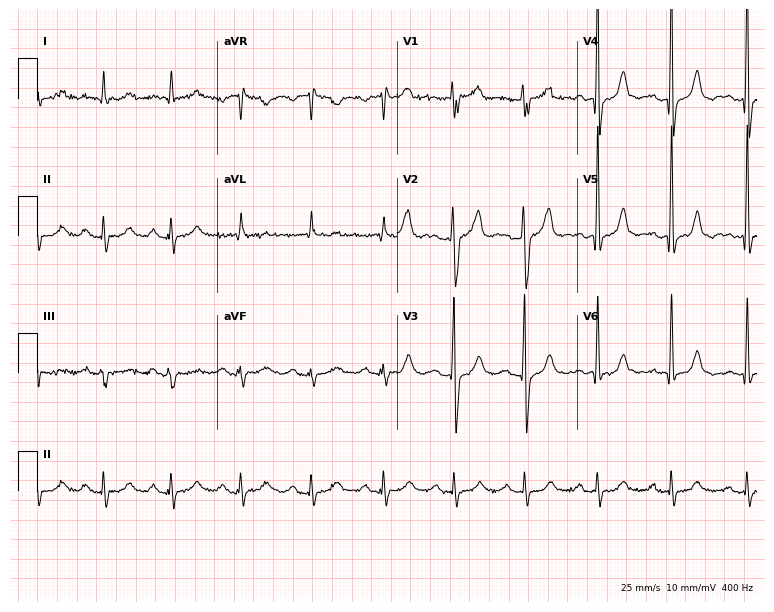
12-lead ECG from a male patient, 51 years old. Screened for six findings — first-degree AV block, right bundle branch block, left bundle branch block, sinus bradycardia, atrial fibrillation, sinus tachycardia — none is recorded. Other findings, if any, are not listed.